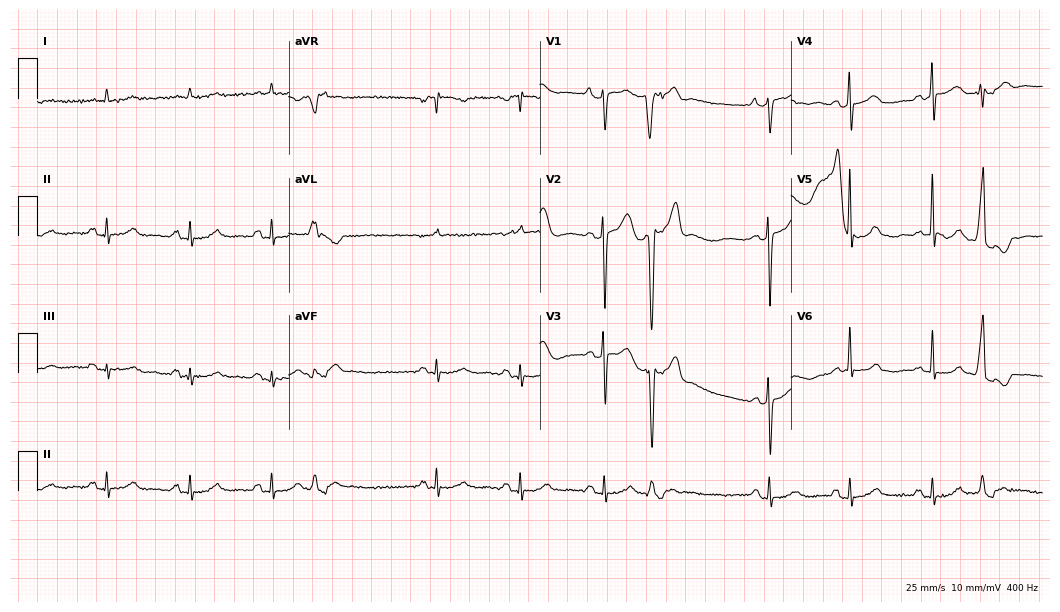
Resting 12-lead electrocardiogram (10.2-second recording at 400 Hz). Patient: an 87-year-old female. None of these six findings is recorded: first-degree AV block, right bundle branch block, left bundle branch block, sinus bradycardia, atrial fibrillation, sinus tachycardia.